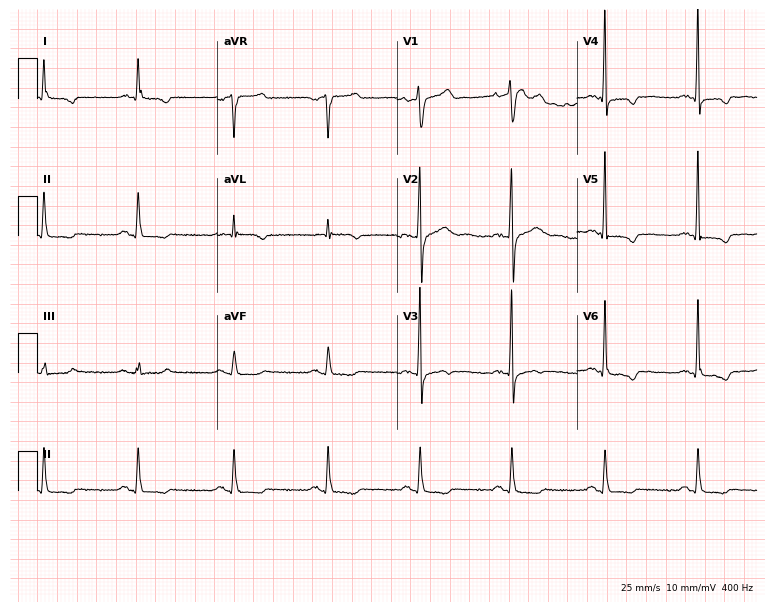
Electrocardiogram, a male, 62 years old. Of the six screened findings (first-degree AV block, right bundle branch block, left bundle branch block, sinus bradycardia, atrial fibrillation, sinus tachycardia), none is recorded.